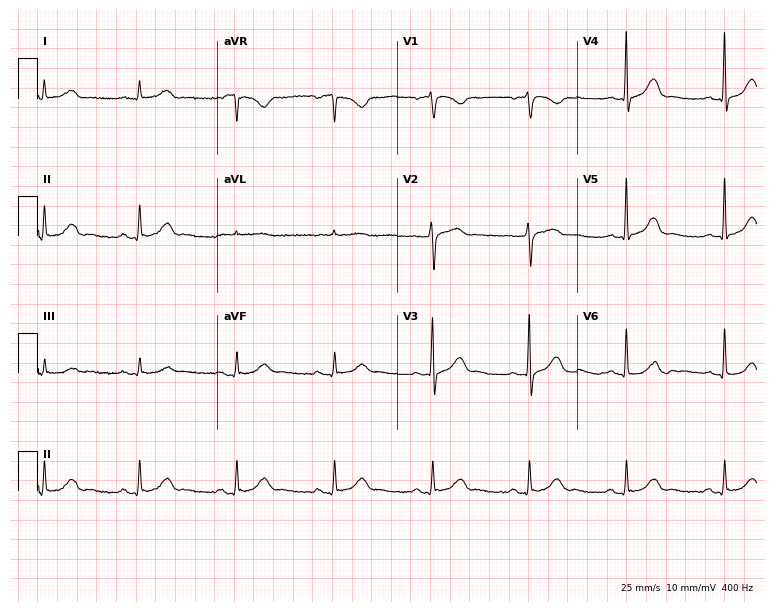
12-lead ECG from a female patient, 70 years old. Recorded interpretation: within normal limits.